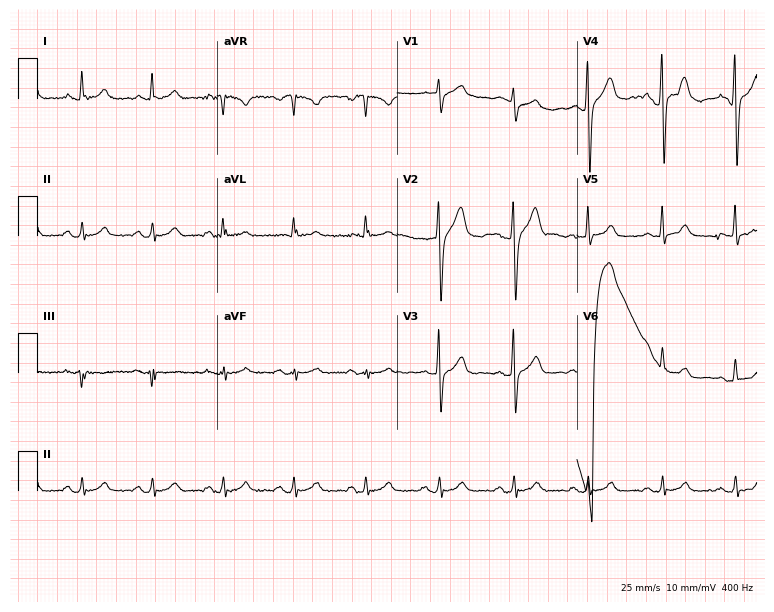
12-lead ECG from a man, 39 years old (7.3-second recording at 400 Hz). Recorded interpretation: within normal limits.